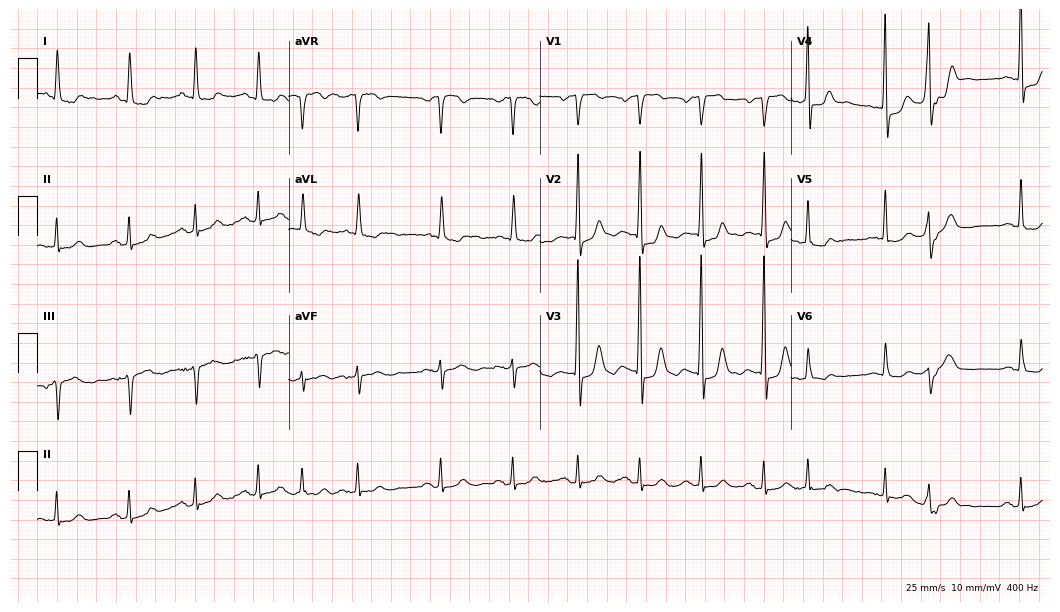
Electrocardiogram (10.2-second recording at 400 Hz), a woman, 83 years old. Overall reading on record: normal ECG.